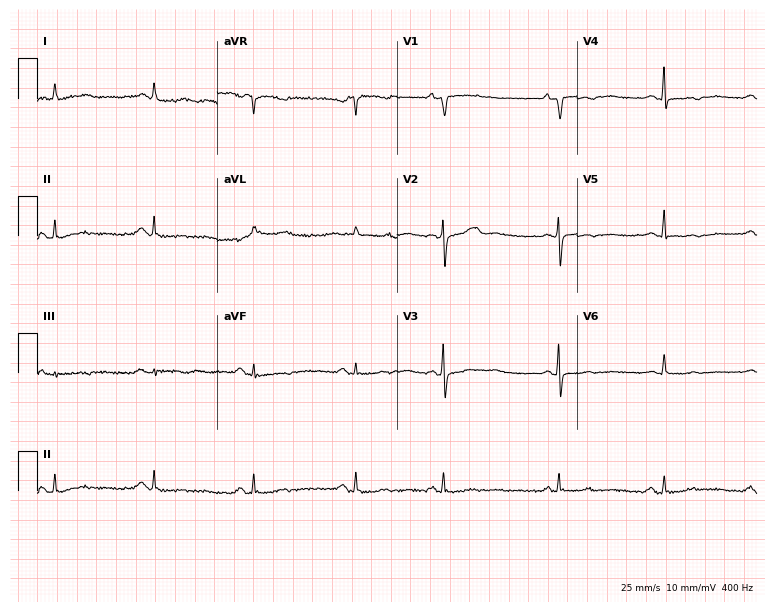
Electrocardiogram (7.3-second recording at 400 Hz), a 79-year-old female. Of the six screened findings (first-degree AV block, right bundle branch block (RBBB), left bundle branch block (LBBB), sinus bradycardia, atrial fibrillation (AF), sinus tachycardia), none is recorded. Other findings, if any, are not listed.